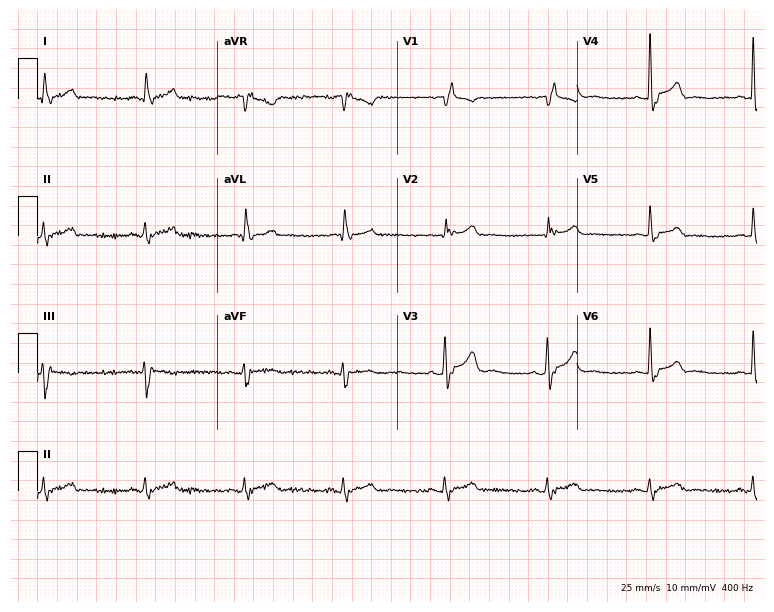
12-lead ECG (7.3-second recording at 400 Hz) from an 82-year-old female. Screened for six findings — first-degree AV block, right bundle branch block, left bundle branch block, sinus bradycardia, atrial fibrillation, sinus tachycardia — none is recorded. Findings outside these six are not listed.